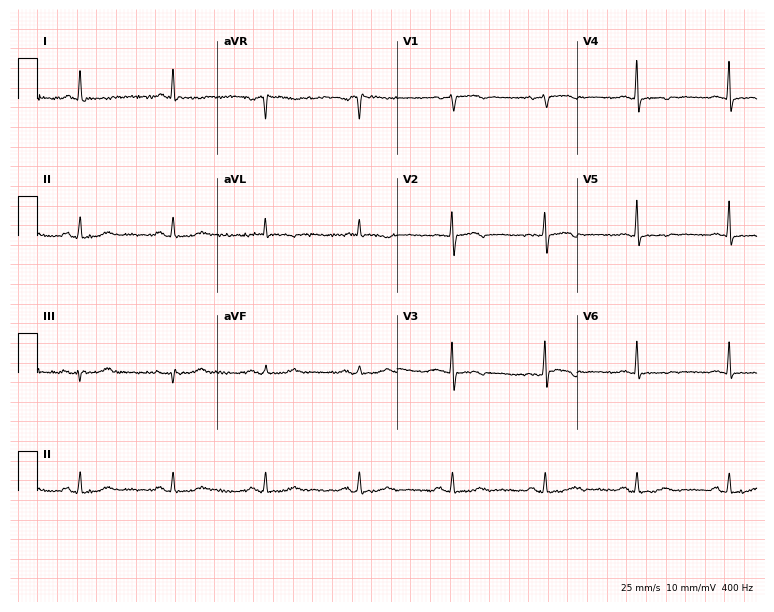
Resting 12-lead electrocardiogram (7.3-second recording at 400 Hz). Patient: a 63-year-old female. None of these six findings is recorded: first-degree AV block, right bundle branch block (RBBB), left bundle branch block (LBBB), sinus bradycardia, atrial fibrillation (AF), sinus tachycardia.